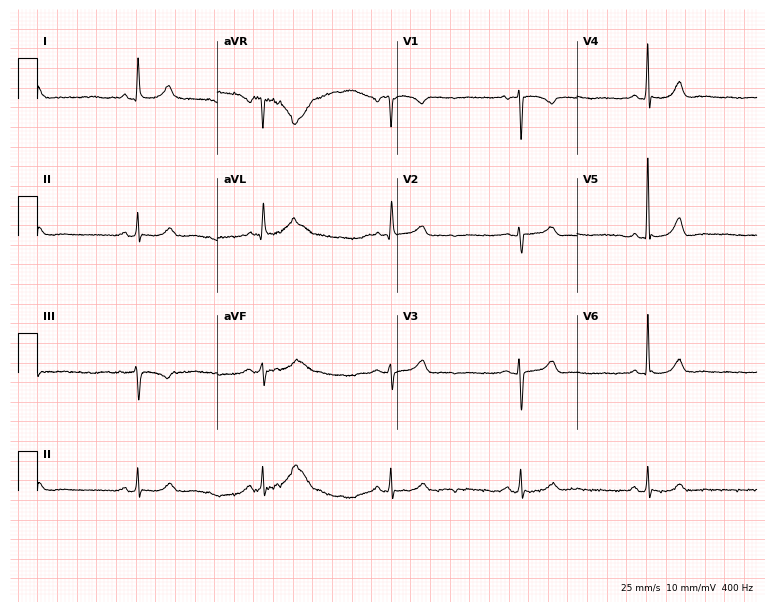
Standard 12-lead ECG recorded from a woman, 75 years old. The tracing shows sinus bradycardia (a sinus rate of 50 beats per minute or less).